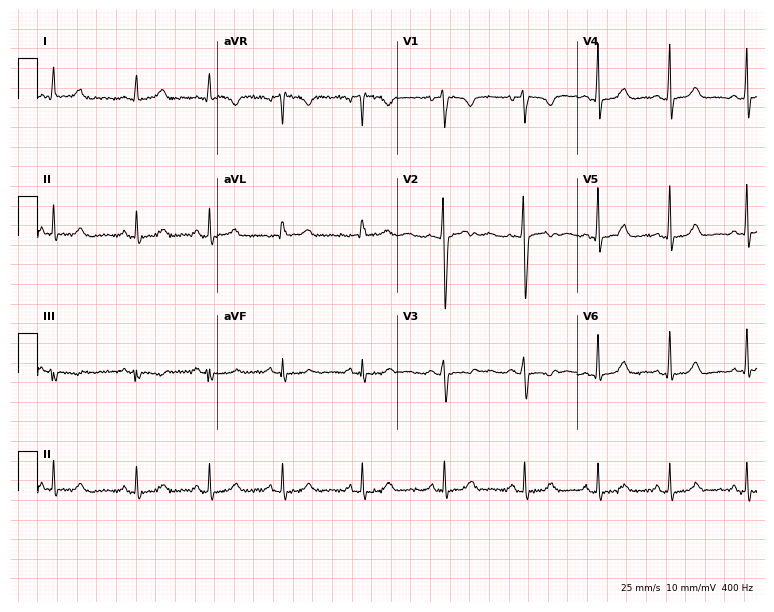
12-lead ECG from a 20-year-old female patient. Screened for six findings — first-degree AV block, right bundle branch block, left bundle branch block, sinus bradycardia, atrial fibrillation, sinus tachycardia — none is recorded.